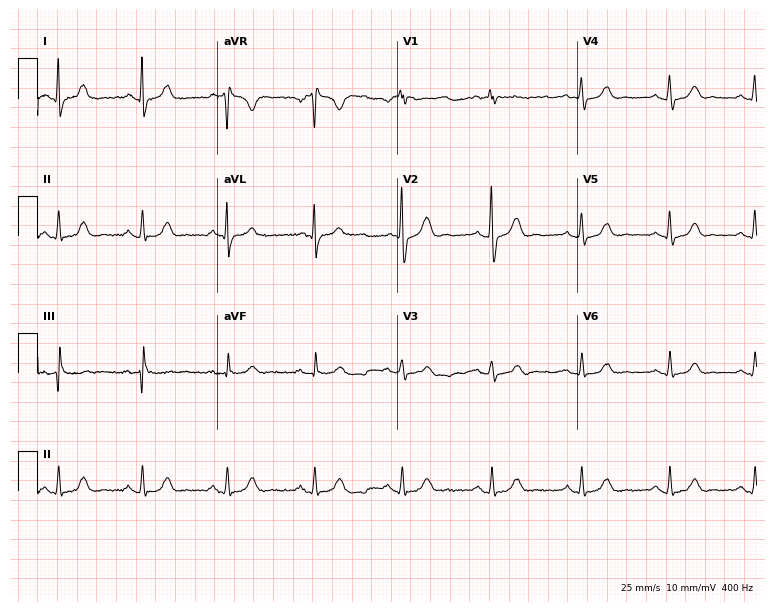
Electrocardiogram (7.3-second recording at 400 Hz), a 44-year-old male. Overall reading on record: normal ECG.